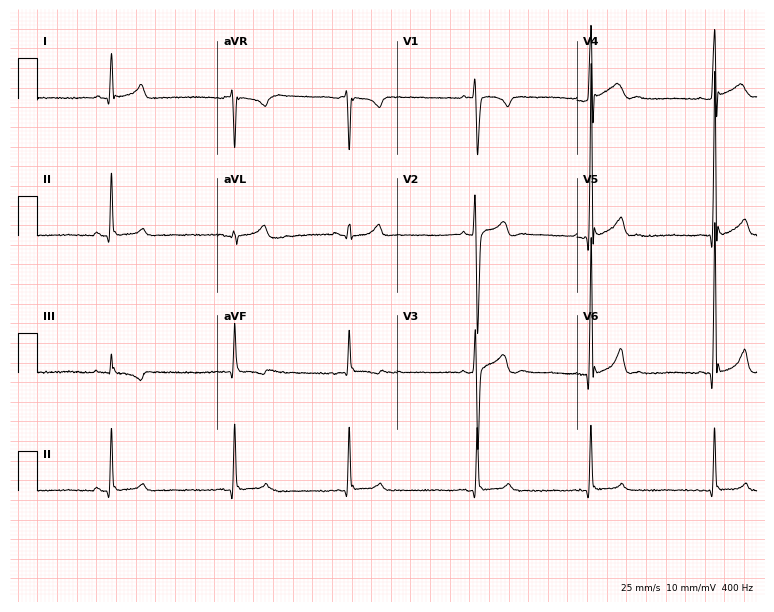
ECG (7.3-second recording at 400 Hz) — a 19-year-old male. Screened for six findings — first-degree AV block, right bundle branch block, left bundle branch block, sinus bradycardia, atrial fibrillation, sinus tachycardia — none is recorded.